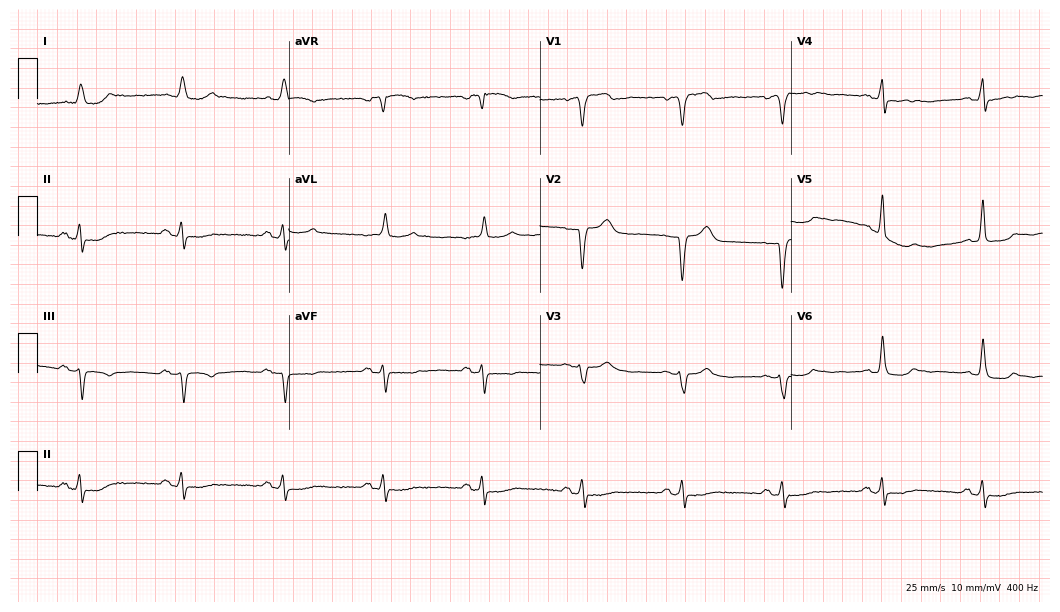
12-lead ECG from a male patient, 74 years old. No first-degree AV block, right bundle branch block (RBBB), left bundle branch block (LBBB), sinus bradycardia, atrial fibrillation (AF) or sinus tachycardia recorded for this tracing.